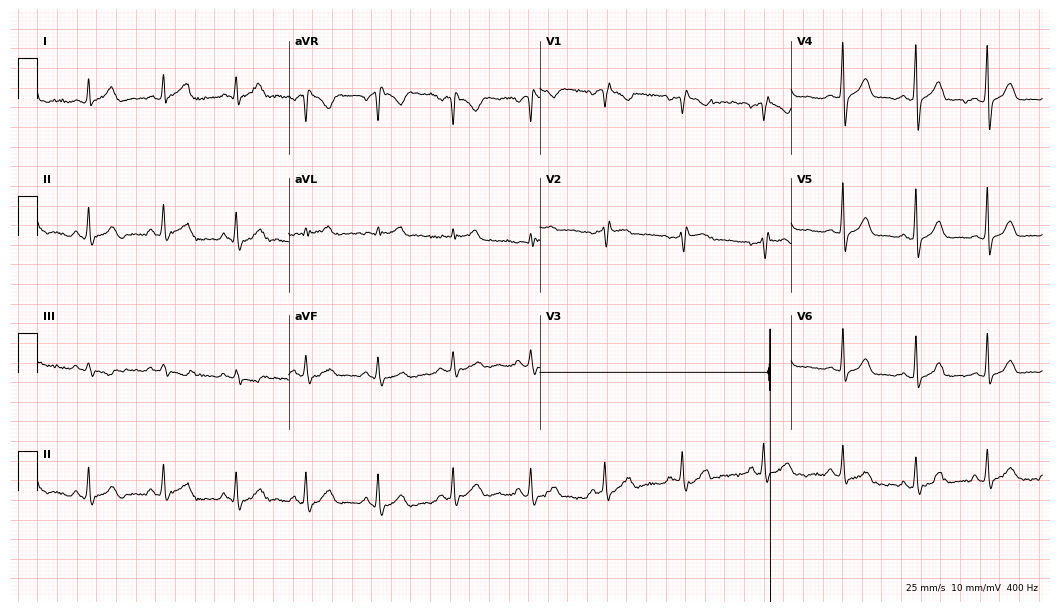
ECG (10.2-second recording at 400 Hz) — a female patient, 25 years old. Screened for six findings — first-degree AV block, right bundle branch block, left bundle branch block, sinus bradycardia, atrial fibrillation, sinus tachycardia — none is recorded.